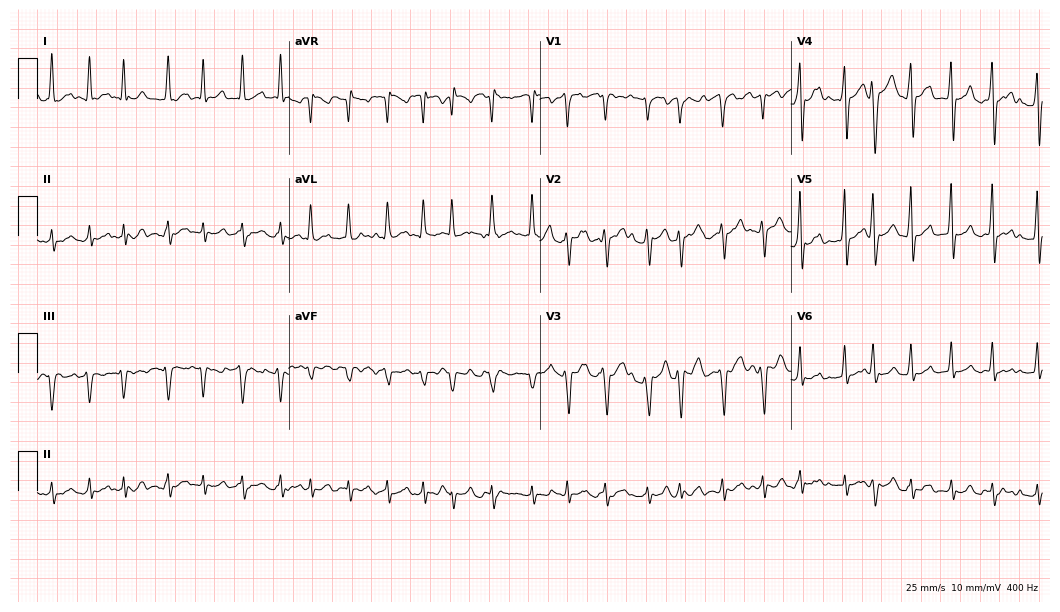
12-lead ECG (10.2-second recording at 400 Hz) from a 59-year-old male. Findings include atrial fibrillation (AF), sinus tachycardia (a sinus rate of 100 beats per minute or more).